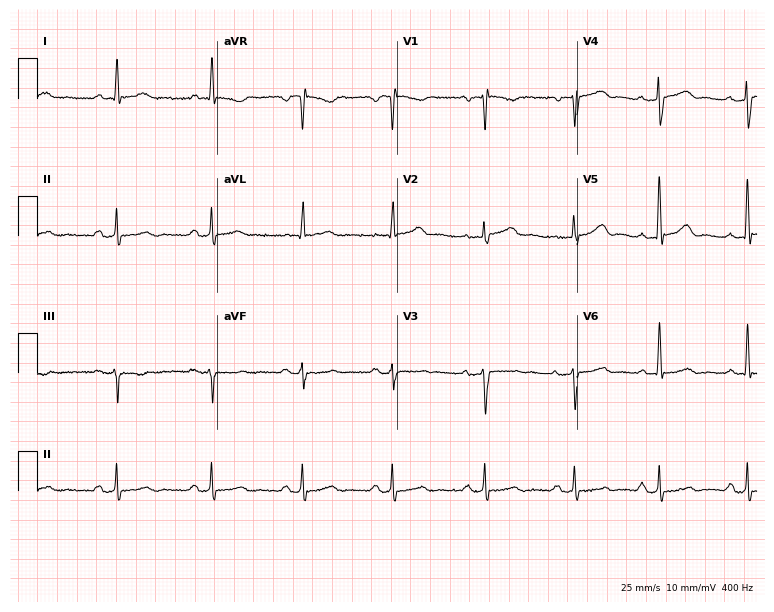
12-lead ECG from a 56-year-old female (7.3-second recording at 400 Hz). Recorded interpretation: within normal limits.